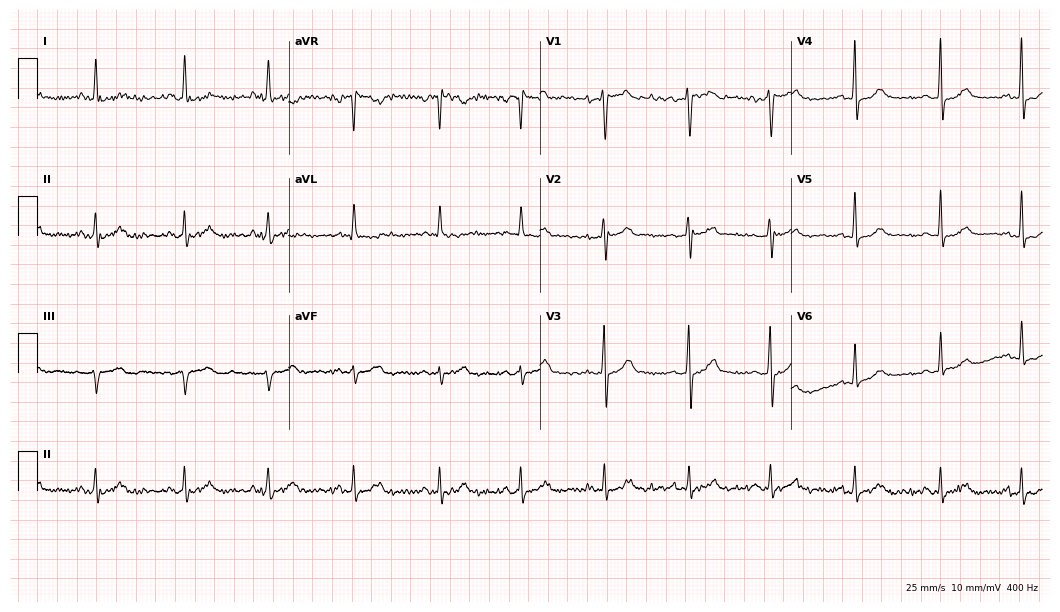
Standard 12-lead ECG recorded from a 40-year-old male patient. None of these six findings is recorded: first-degree AV block, right bundle branch block (RBBB), left bundle branch block (LBBB), sinus bradycardia, atrial fibrillation (AF), sinus tachycardia.